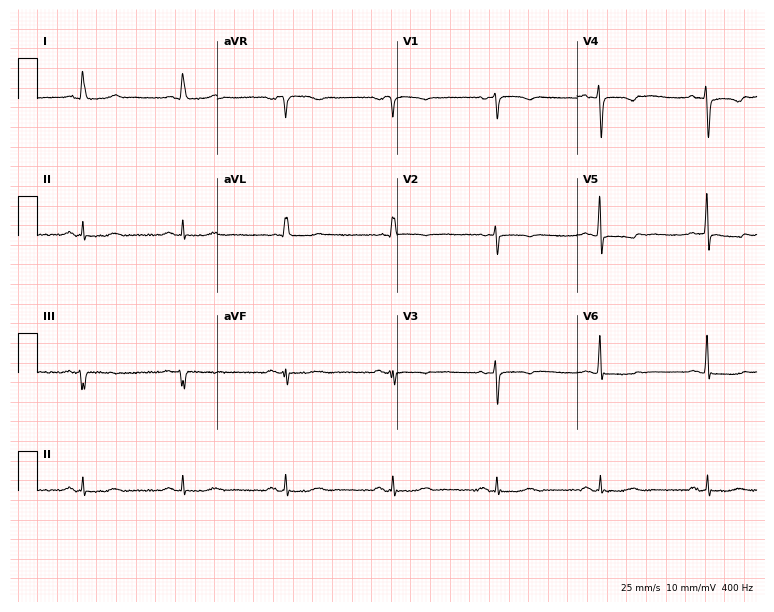
Electrocardiogram, a 64-year-old female patient. Of the six screened findings (first-degree AV block, right bundle branch block (RBBB), left bundle branch block (LBBB), sinus bradycardia, atrial fibrillation (AF), sinus tachycardia), none is recorded. Other findings, if any, are not listed.